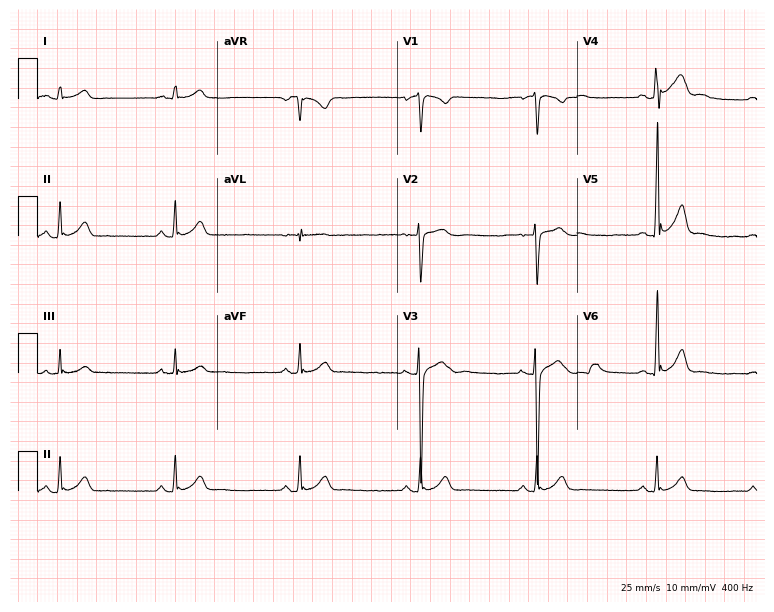
Electrocardiogram, a male, 19 years old. Interpretation includes sinus bradycardia (a sinus rate of 50 beats per minute or less).